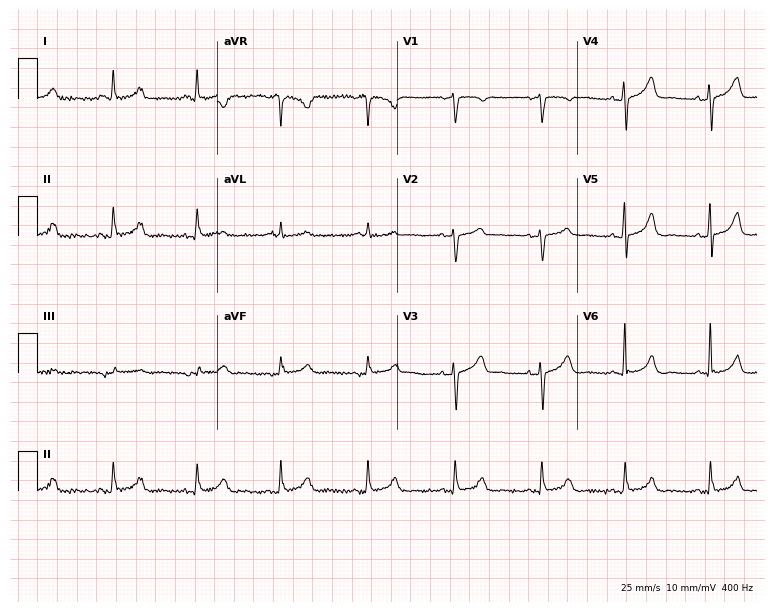
12-lead ECG from a woman, 73 years old (7.3-second recording at 400 Hz). Recorded interpretation: within normal limits.